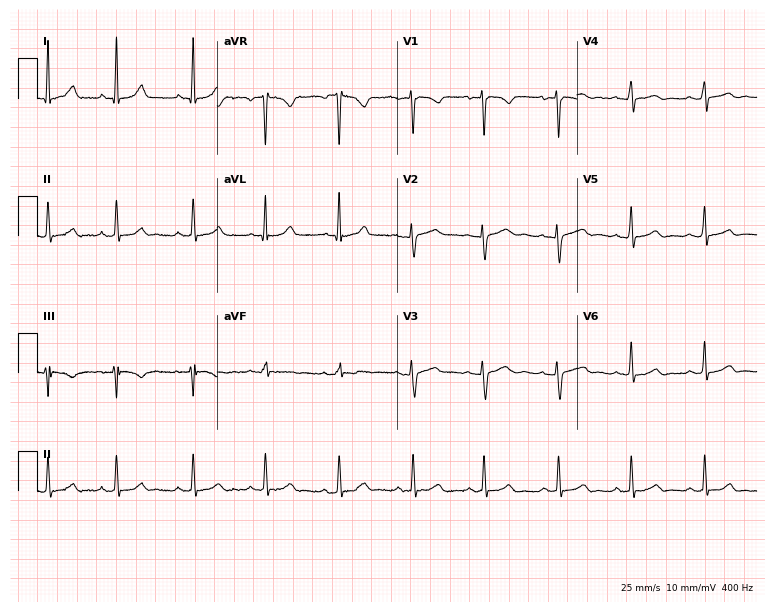
12-lead ECG (7.3-second recording at 400 Hz) from a female patient, 24 years old. Labelled as a normal ECG.